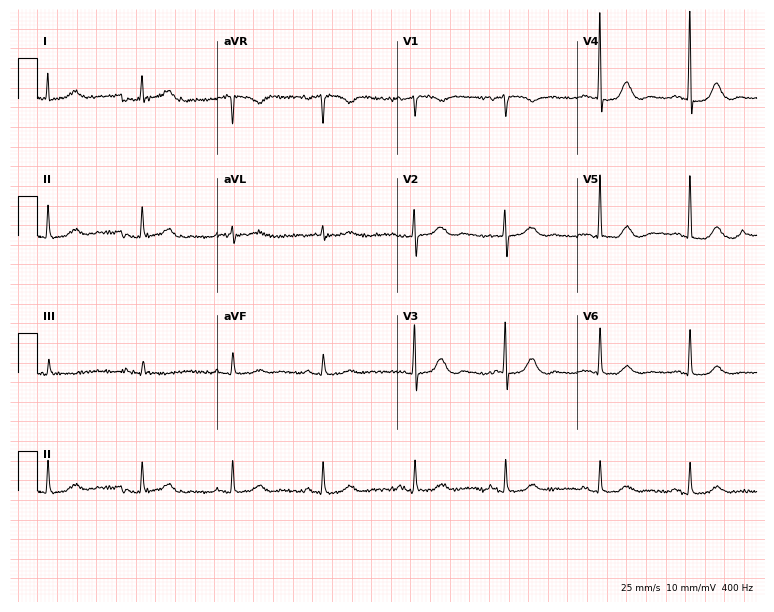
ECG — a woman, 82 years old. Labelled as a normal ECG.